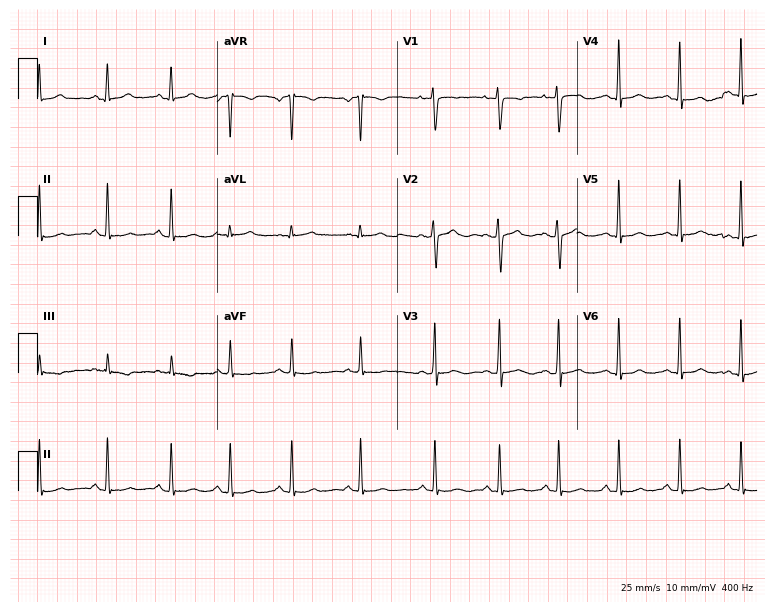
Resting 12-lead electrocardiogram (7.3-second recording at 400 Hz). Patient: a female, 22 years old. Read as a normal ECG.